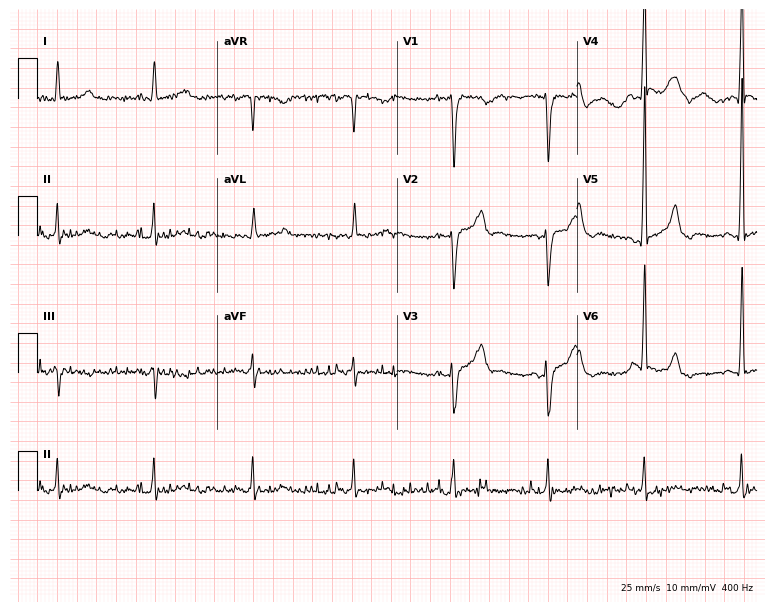
12-lead ECG from a 53-year-old male. Recorded interpretation: within normal limits.